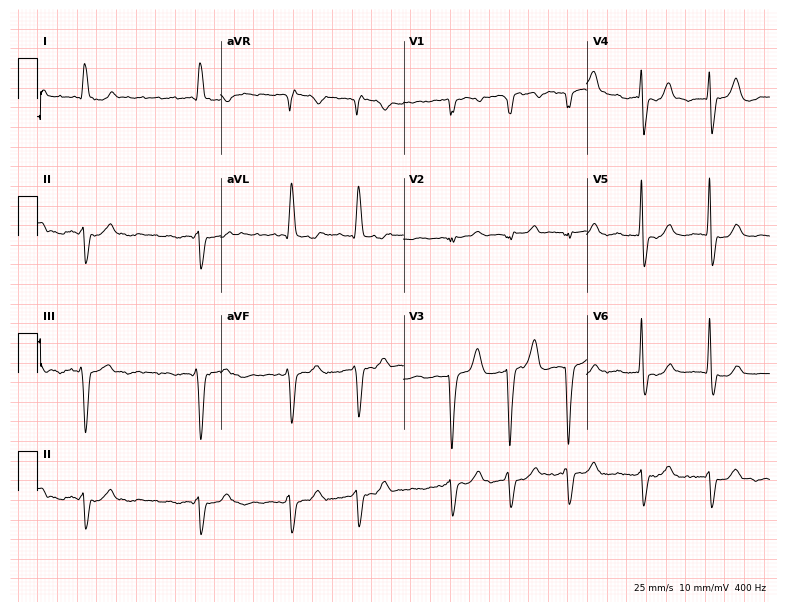
12-lead ECG from a woman, 85 years old. Shows atrial fibrillation.